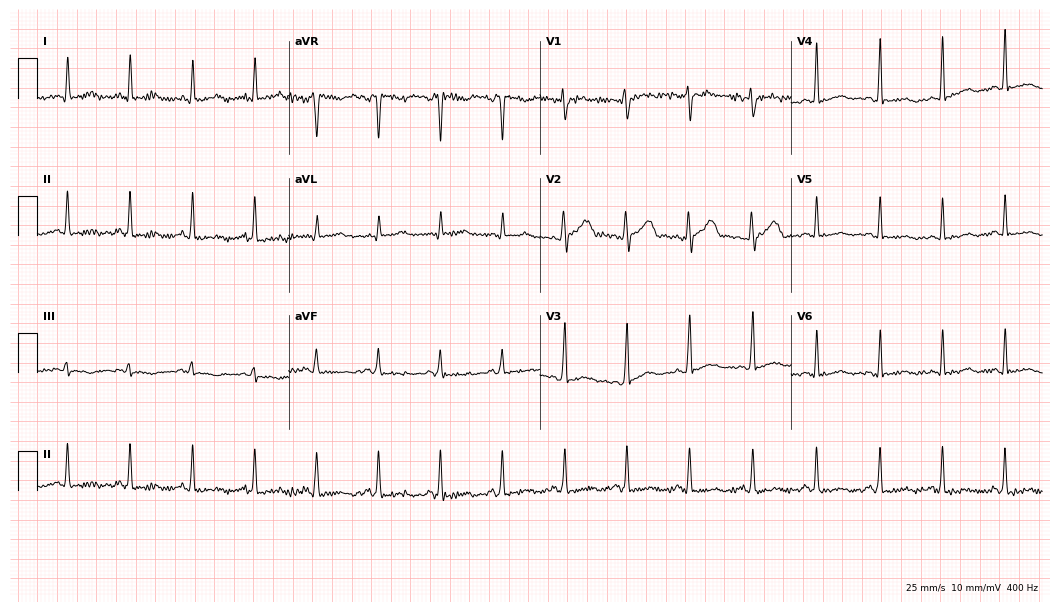
Resting 12-lead electrocardiogram (10.2-second recording at 400 Hz). Patient: a 35-year-old woman. Read as a normal ECG.